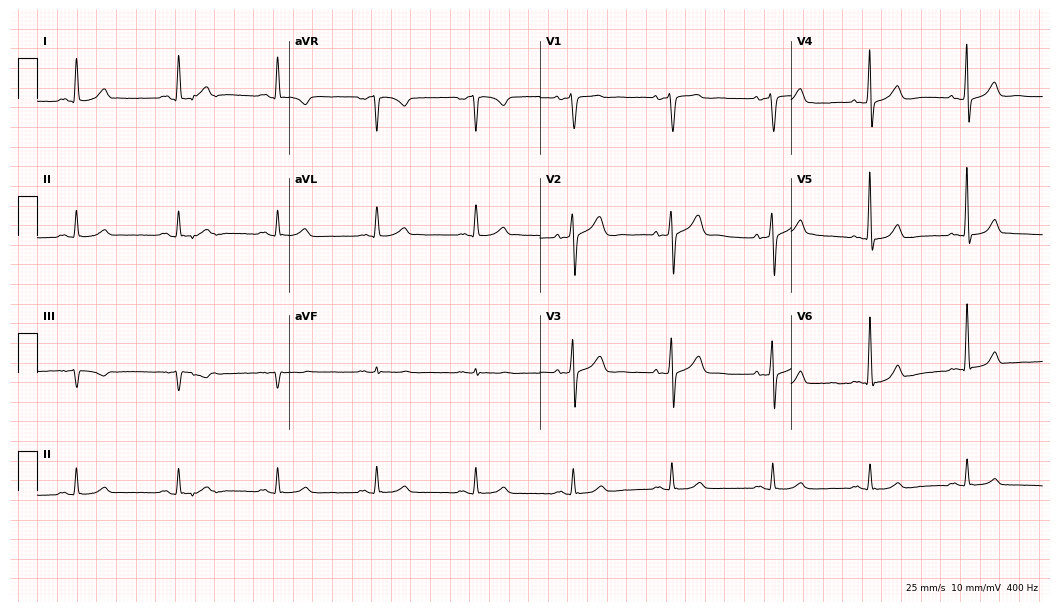
Standard 12-lead ECG recorded from a man, 57 years old. Read as a normal ECG.